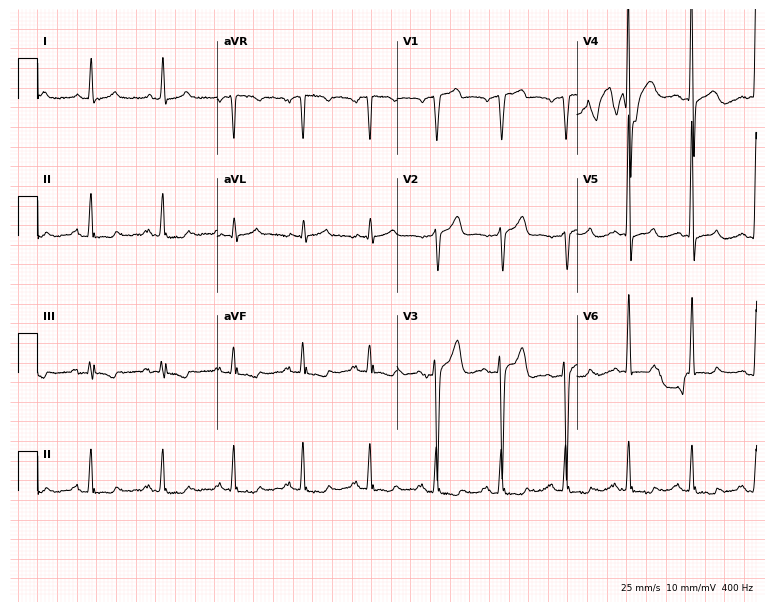
ECG — a male, 61 years old. Screened for six findings — first-degree AV block, right bundle branch block, left bundle branch block, sinus bradycardia, atrial fibrillation, sinus tachycardia — none is recorded.